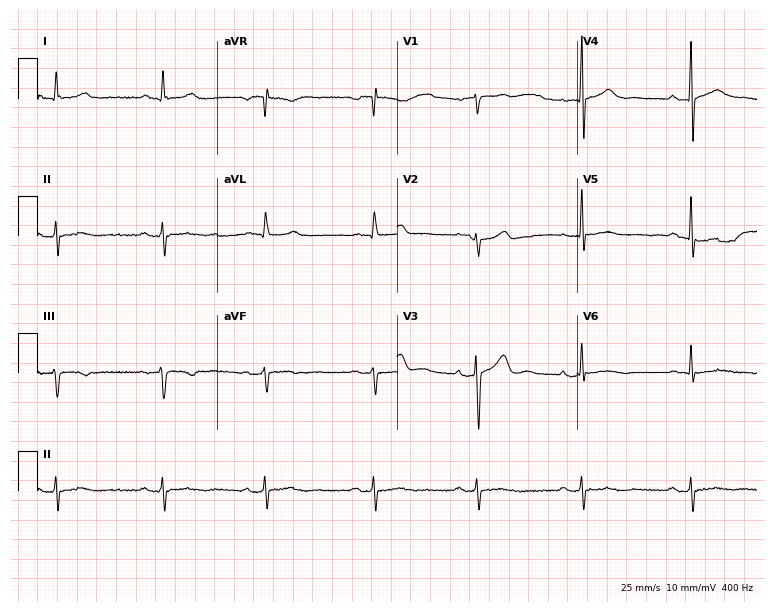
Electrocardiogram (7.3-second recording at 400 Hz), a man, 65 years old. Of the six screened findings (first-degree AV block, right bundle branch block, left bundle branch block, sinus bradycardia, atrial fibrillation, sinus tachycardia), none is recorded. Only these six findings were labelled.